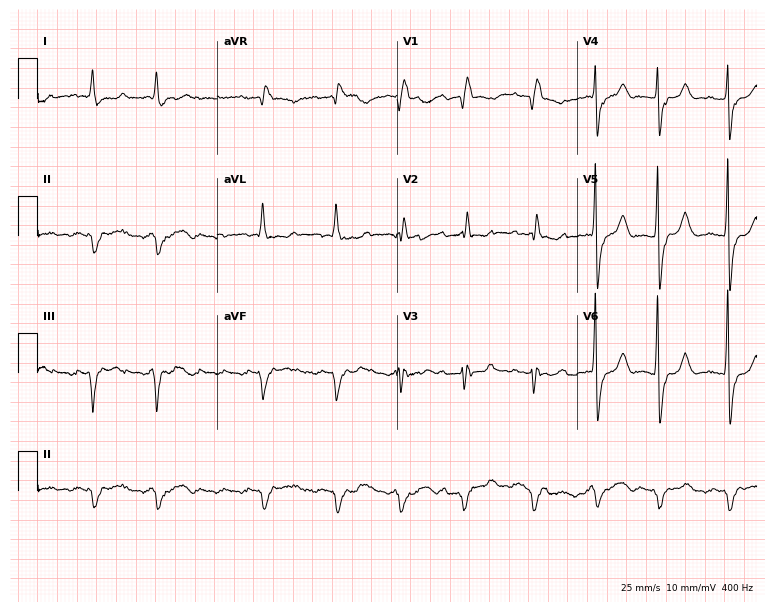
Standard 12-lead ECG recorded from an 84-year-old male. The tracing shows right bundle branch block (RBBB).